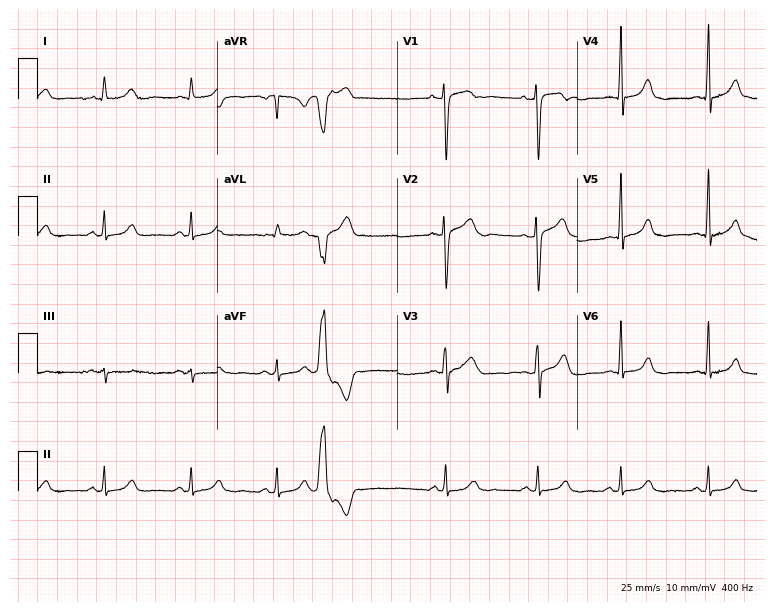
Resting 12-lead electrocardiogram. Patient: a 45-year-old female. None of these six findings is recorded: first-degree AV block, right bundle branch block, left bundle branch block, sinus bradycardia, atrial fibrillation, sinus tachycardia. Only these six findings were labelled.